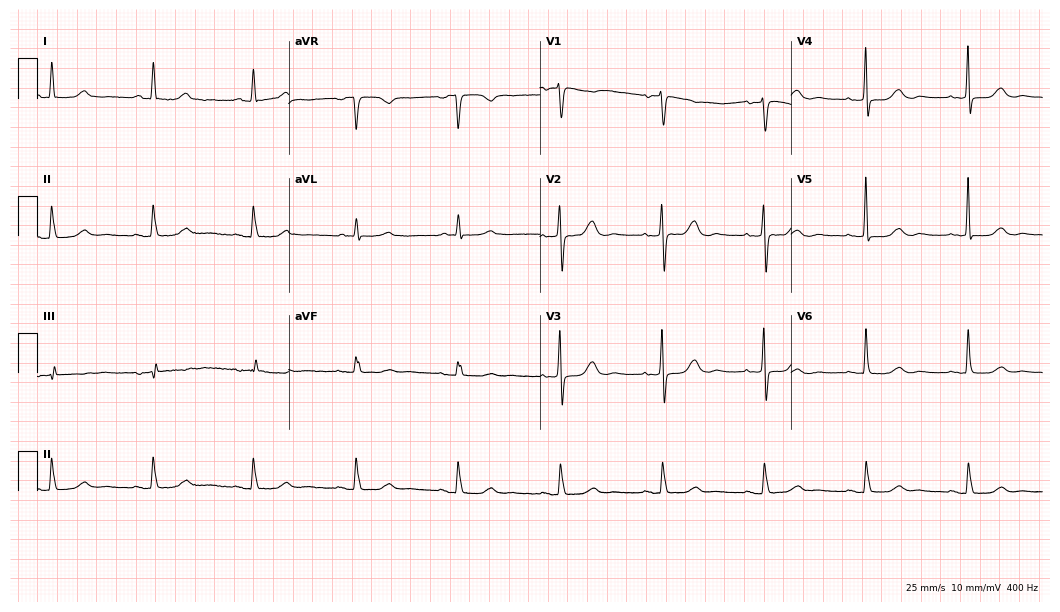
Electrocardiogram, an 84-year-old female patient. Overall reading on record: normal ECG.